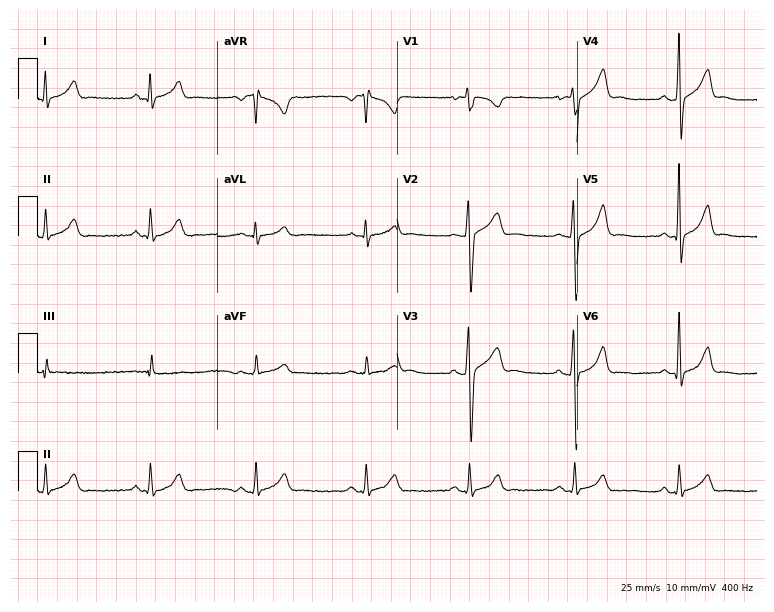
Standard 12-lead ECG recorded from a 26-year-old male patient (7.3-second recording at 400 Hz). Read as a normal ECG.